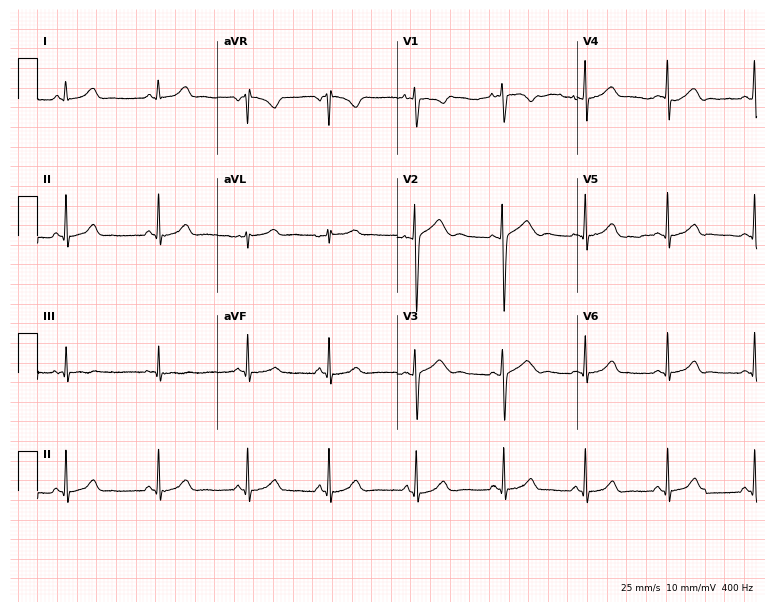
12-lead ECG from a 22-year-old female patient. Recorded interpretation: within normal limits.